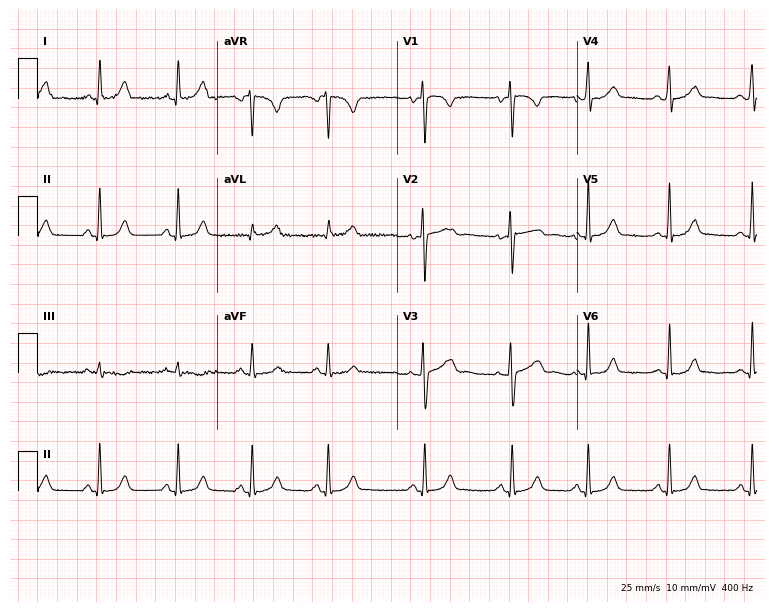
Electrocardiogram, a female patient, 27 years old. Overall reading on record: normal ECG.